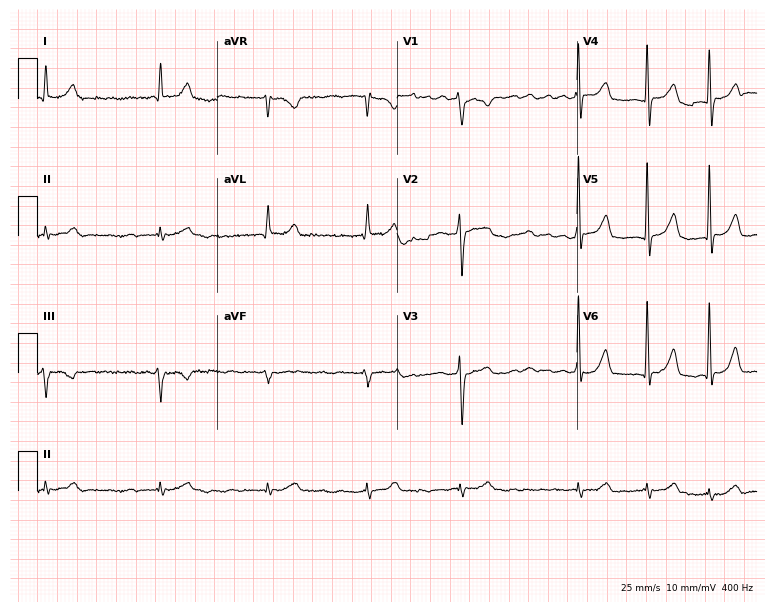
ECG — a 73-year-old man. Findings include atrial fibrillation.